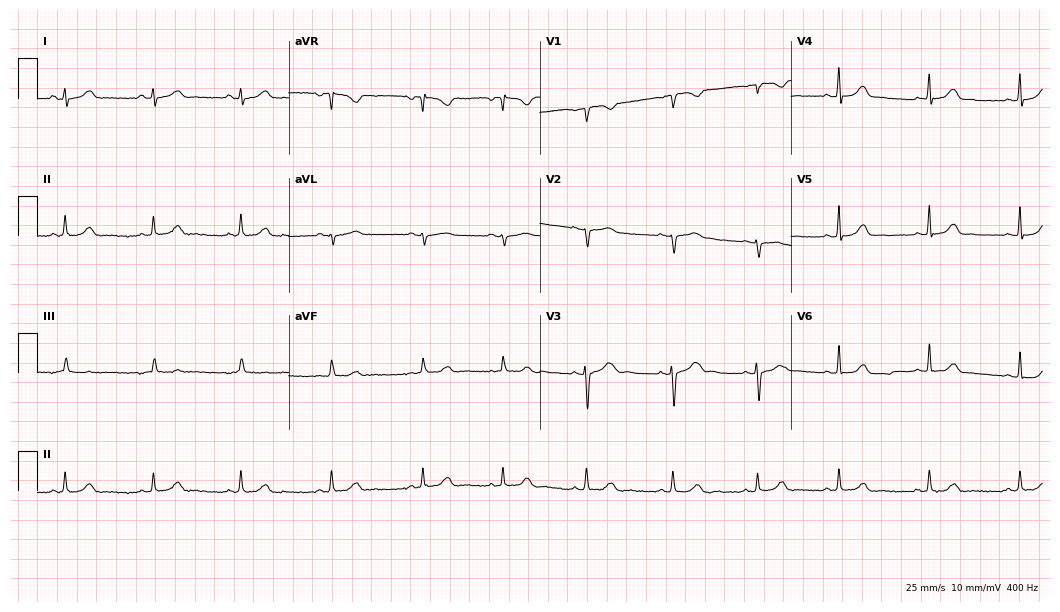
Electrocardiogram (10.2-second recording at 400 Hz), a 21-year-old female. Overall reading on record: normal ECG.